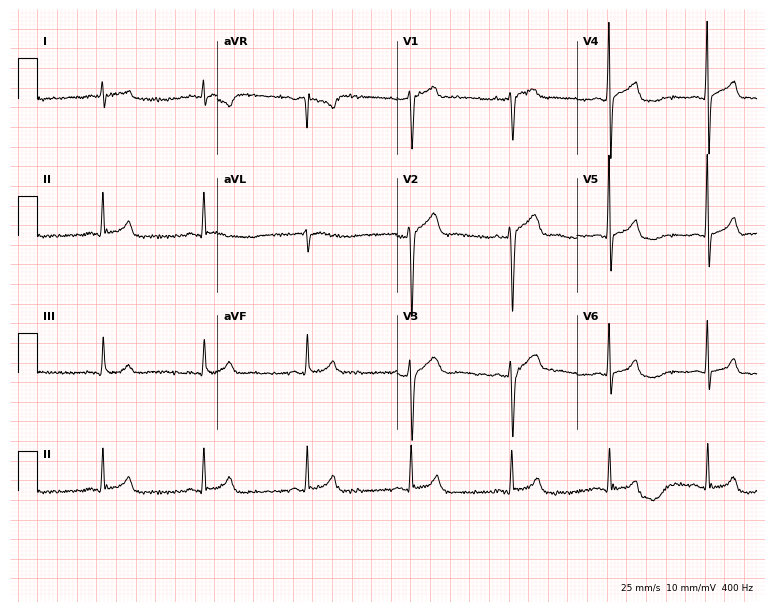
ECG — a male patient, 42 years old. Labelled as a normal ECG.